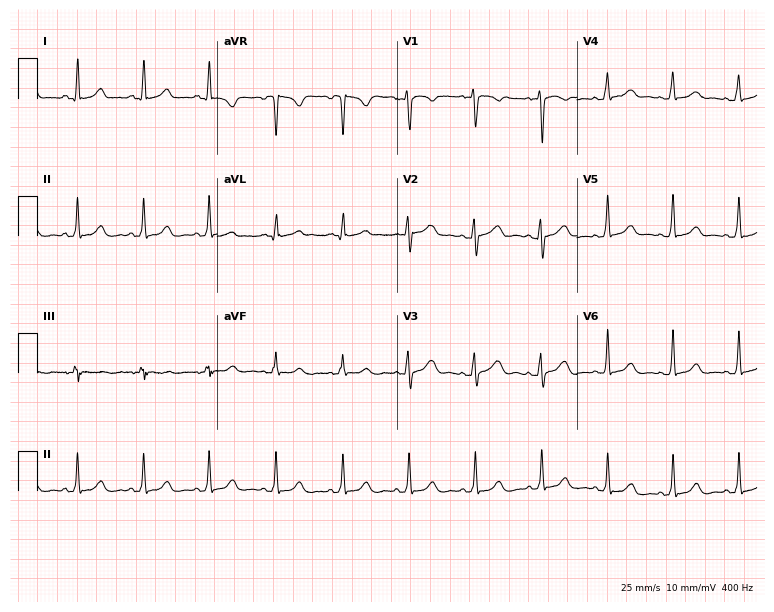
12-lead ECG (7.3-second recording at 400 Hz) from a 42-year-old female. Labelled as a normal ECG.